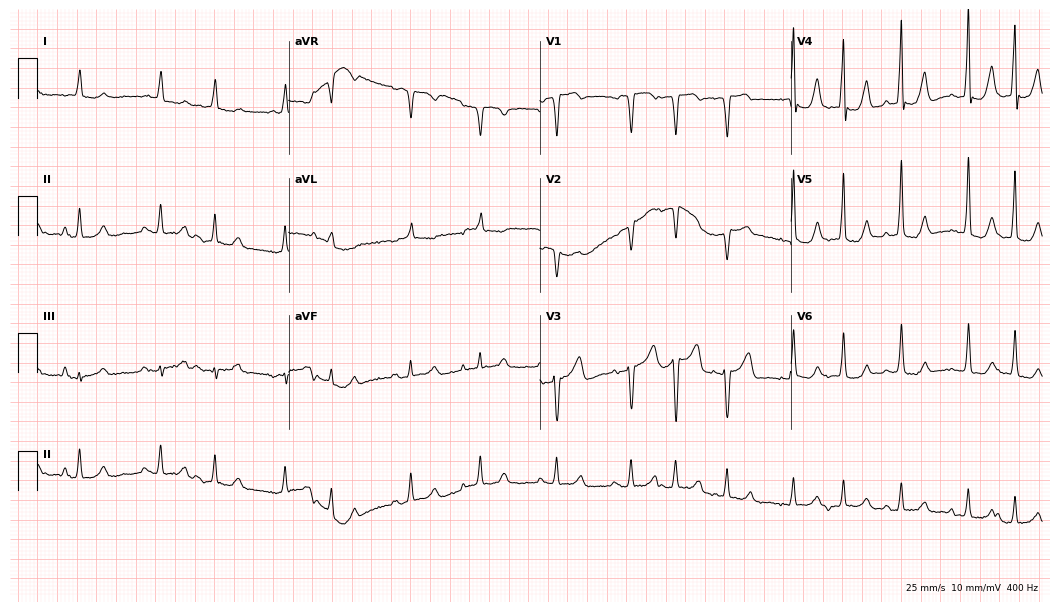
12-lead ECG (10.2-second recording at 400 Hz) from a female, 84 years old. Screened for six findings — first-degree AV block, right bundle branch block, left bundle branch block, sinus bradycardia, atrial fibrillation, sinus tachycardia — none is recorded. Other findings, if any, are not listed.